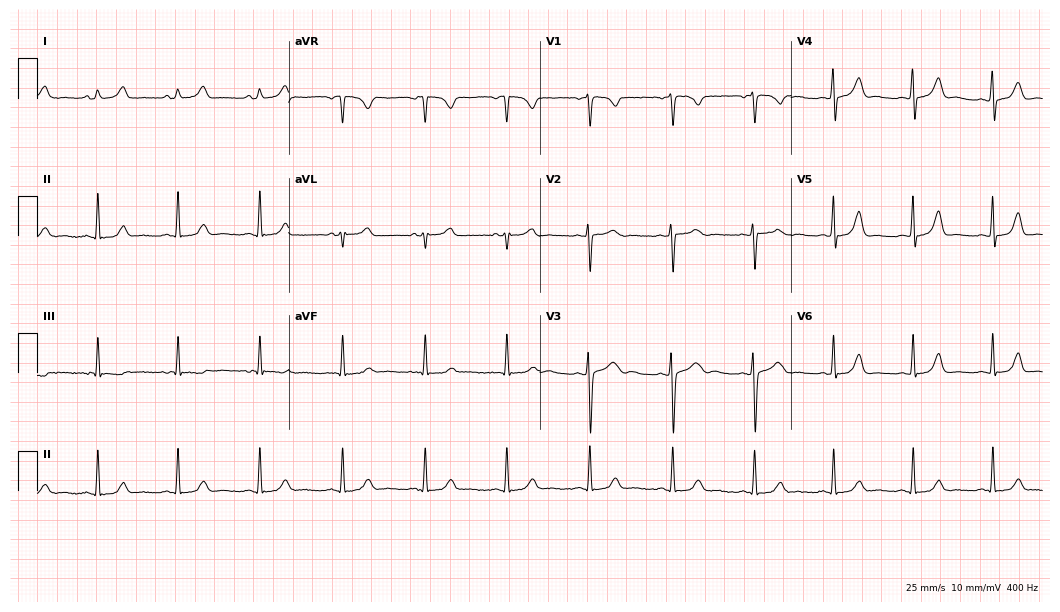
ECG — a female patient, 34 years old. Labelled as a normal ECG.